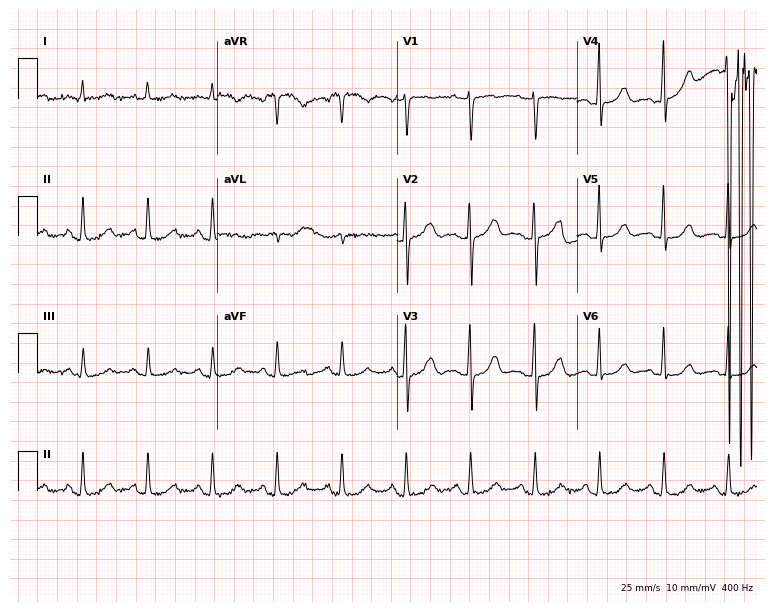
12-lead ECG from a female, 78 years old (7.3-second recording at 400 Hz). Recorded interpretation: within normal limits.